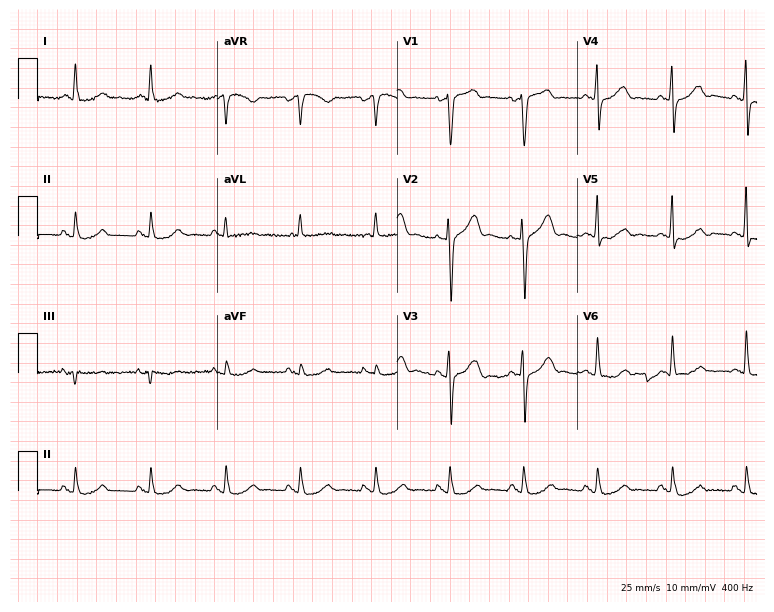
12-lead ECG from a male, 59 years old (7.3-second recording at 400 Hz). Recorded interpretation: within normal limits.